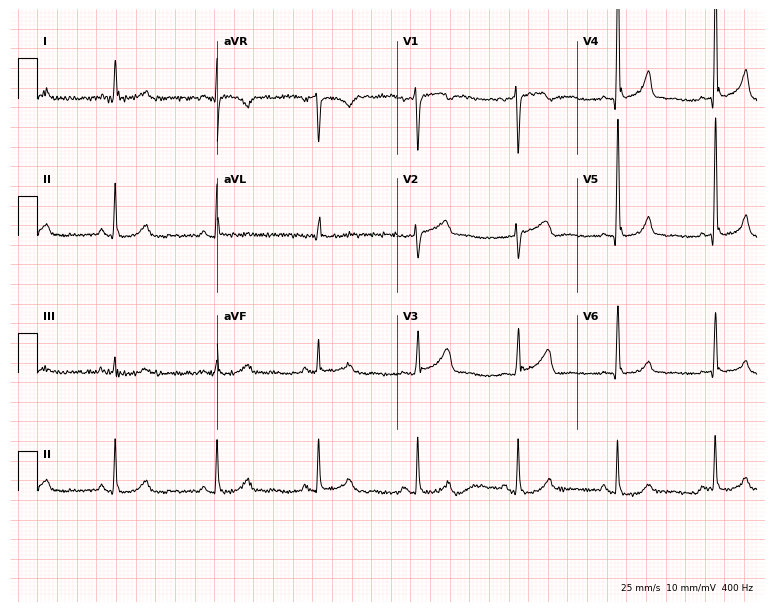
12-lead ECG (7.3-second recording at 400 Hz) from a 72-year-old male. Screened for six findings — first-degree AV block, right bundle branch block, left bundle branch block, sinus bradycardia, atrial fibrillation, sinus tachycardia — none is recorded.